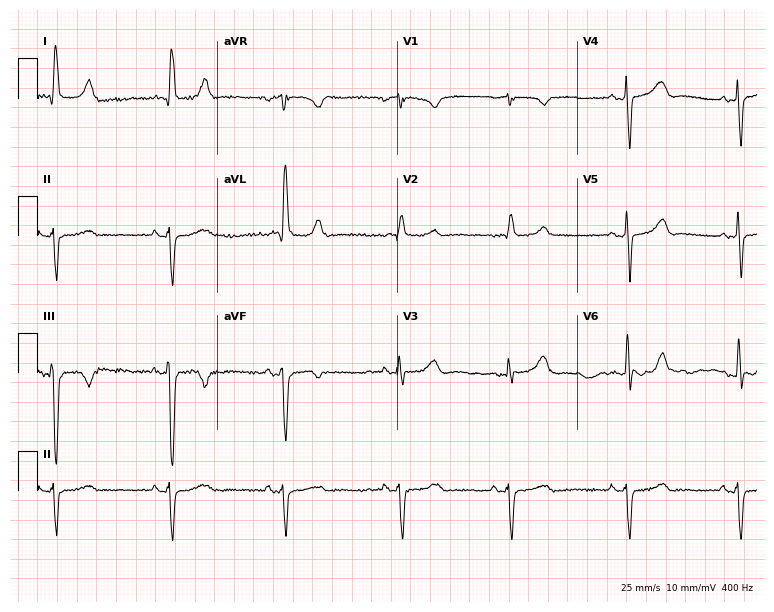
ECG — a female patient, 77 years old. Screened for six findings — first-degree AV block, right bundle branch block (RBBB), left bundle branch block (LBBB), sinus bradycardia, atrial fibrillation (AF), sinus tachycardia — none is recorded. Findings outside these six are not listed.